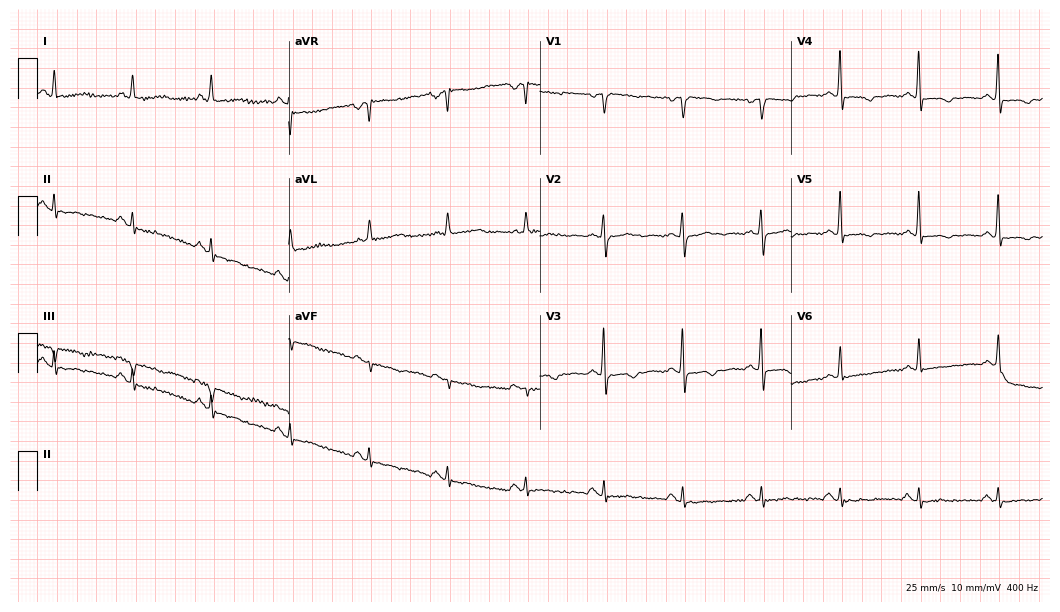
Standard 12-lead ECG recorded from a female, 68 years old (10.2-second recording at 400 Hz). None of these six findings is recorded: first-degree AV block, right bundle branch block (RBBB), left bundle branch block (LBBB), sinus bradycardia, atrial fibrillation (AF), sinus tachycardia.